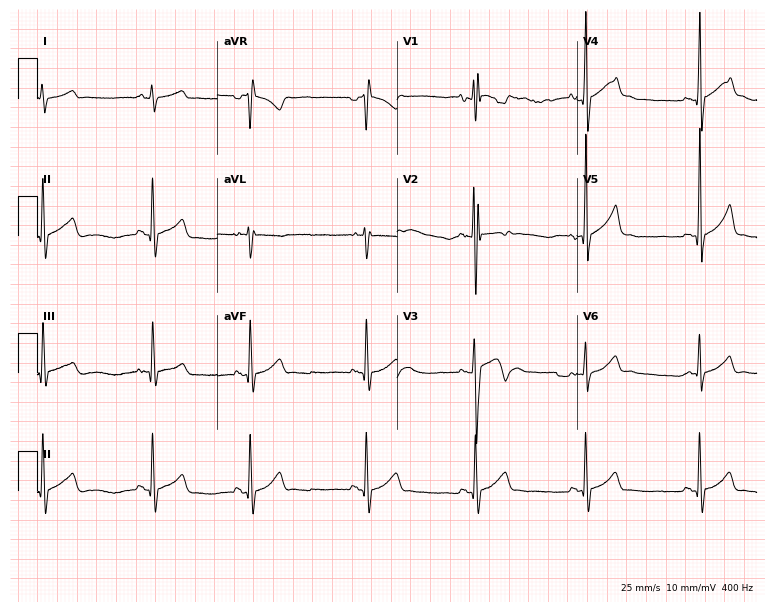
Electrocardiogram, a male patient, 18 years old. Of the six screened findings (first-degree AV block, right bundle branch block, left bundle branch block, sinus bradycardia, atrial fibrillation, sinus tachycardia), none is recorded.